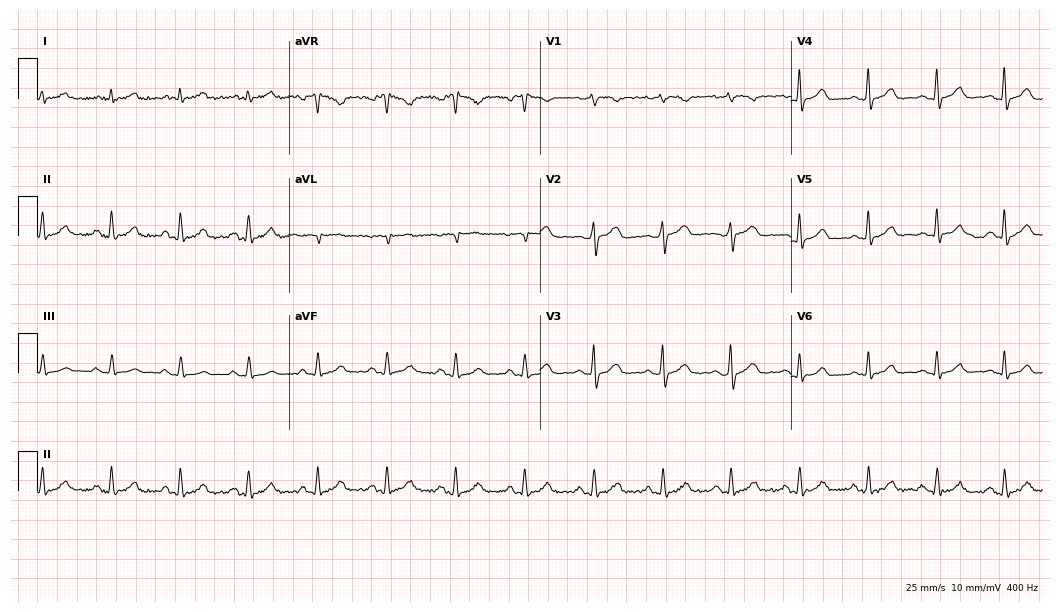
Electrocardiogram (10.2-second recording at 400 Hz), a woman, 52 years old. Overall reading on record: normal ECG.